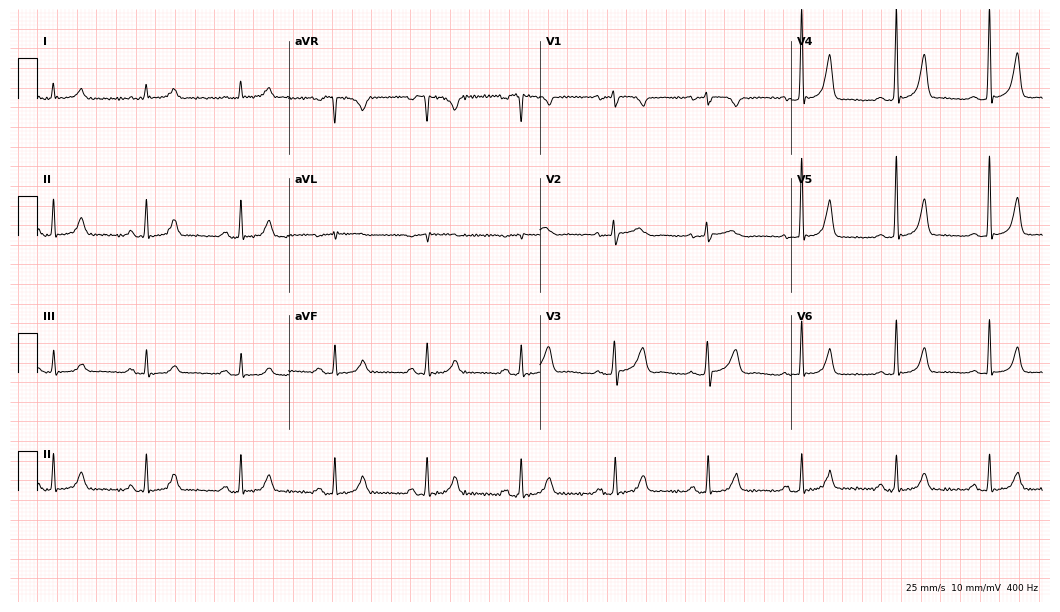
Electrocardiogram (10.2-second recording at 400 Hz), a female patient, 63 years old. Overall reading on record: normal ECG.